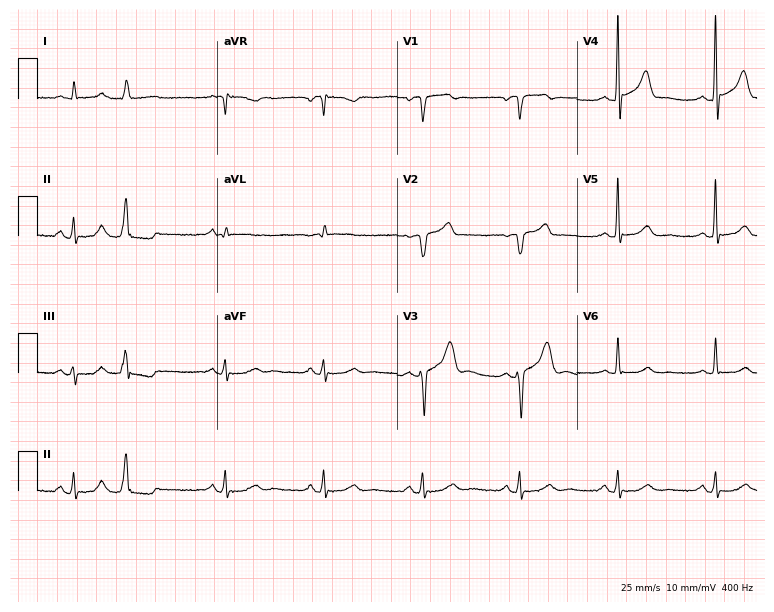
Standard 12-lead ECG recorded from a 61-year-old man. None of these six findings is recorded: first-degree AV block, right bundle branch block (RBBB), left bundle branch block (LBBB), sinus bradycardia, atrial fibrillation (AF), sinus tachycardia.